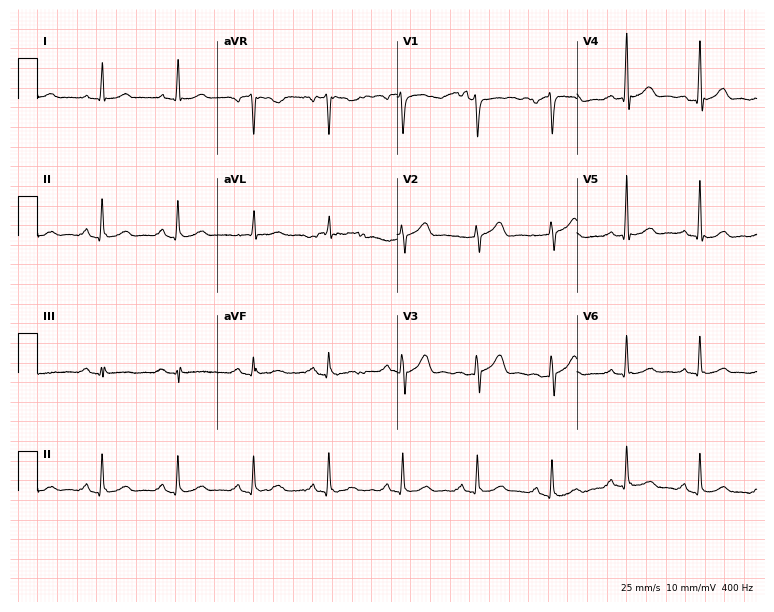
Electrocardiogram, a 67-year-old male. Overall reading on record: normal ECG.